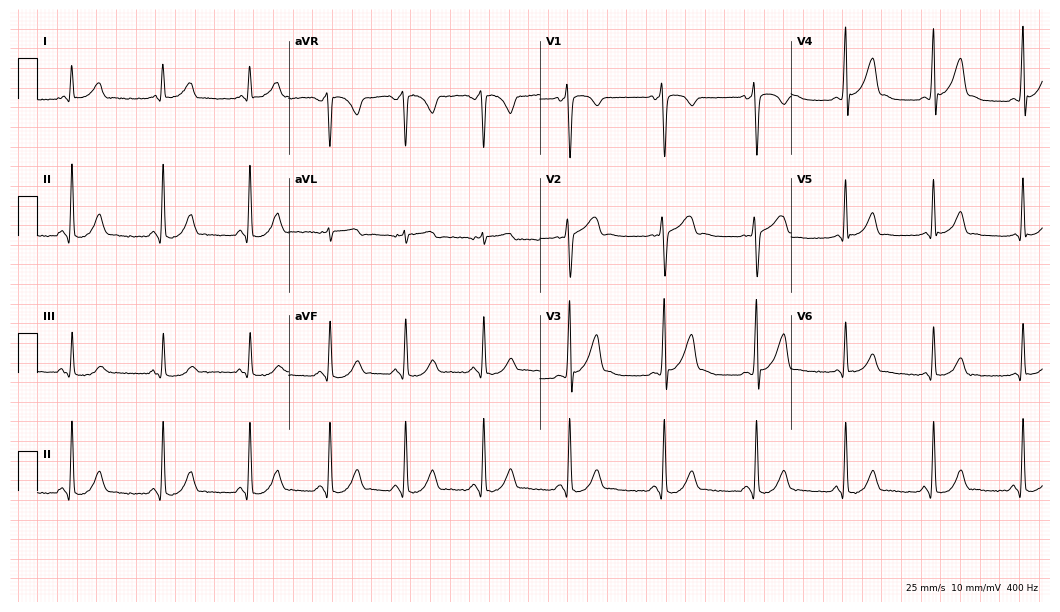
ECG (10.2-second recording at 400 Hz) — a male, 23 years old. Screened for six findings — first-degree AV block, right bundle branch block, left bundle branch block, sinus bradycardia, atrial fibrillation, sinus tachycardia — none is recorded.